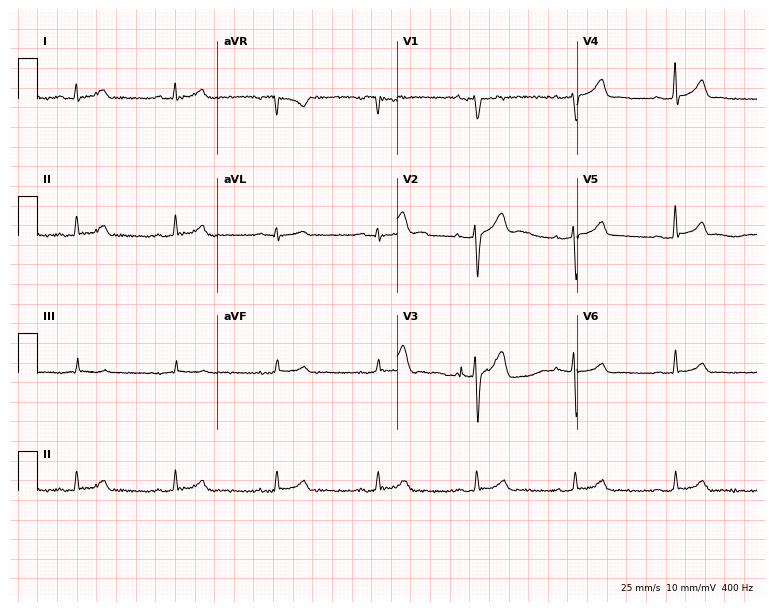
Standard 12-lead ECG recorded from a 50-year-old male (7.3-second recording at 400 Hz). Read as a normal ECG.